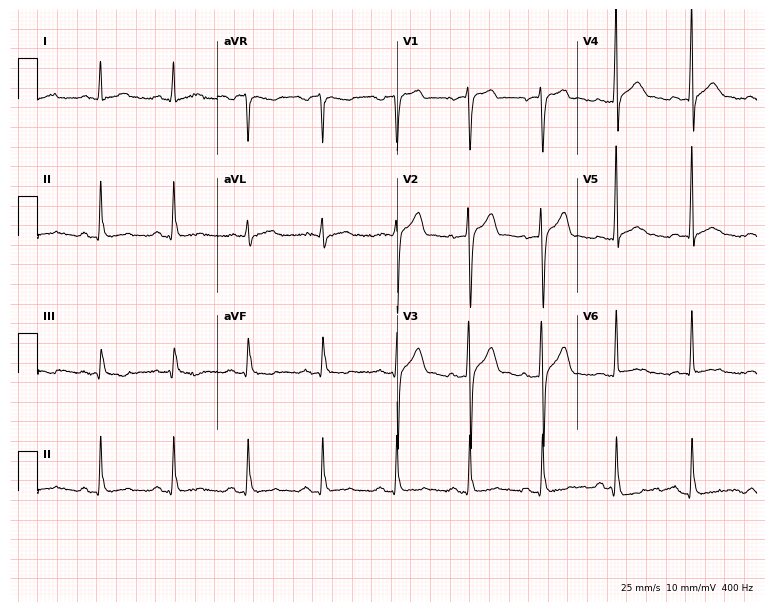
Resting 12-lead electrocardiogram (7.3-second recording at 400 Hz). Patient: a male, 44 years old. None of these six findings is recorded: first-degree AV block, right bundle branch block, left bundle branch block, sinus bradycardia, atrial fibrillation, sinus tachycardia.